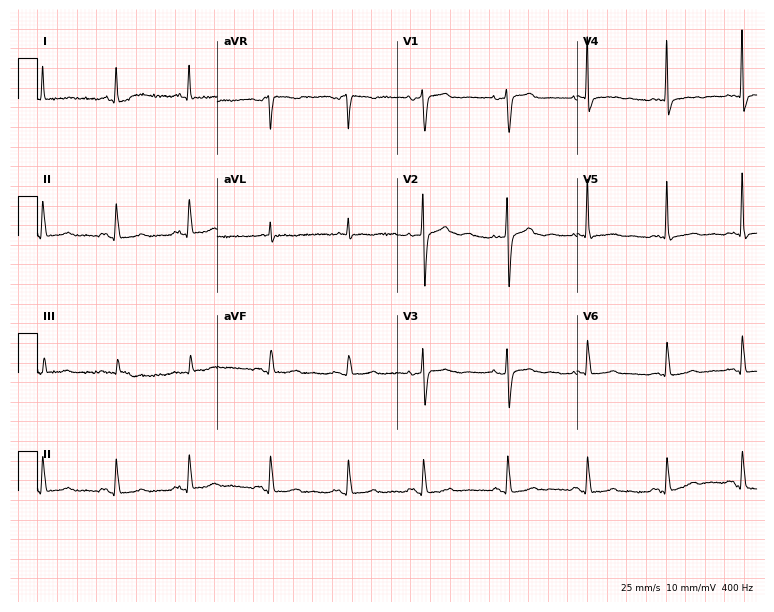
12-lead ECG from a 69-year-old female. No first-degree AV block, right bundle branch block, left bundle branch block, sinus bradycardia, atrial fibrillation or sinus tachycardia recorded for this tracing.